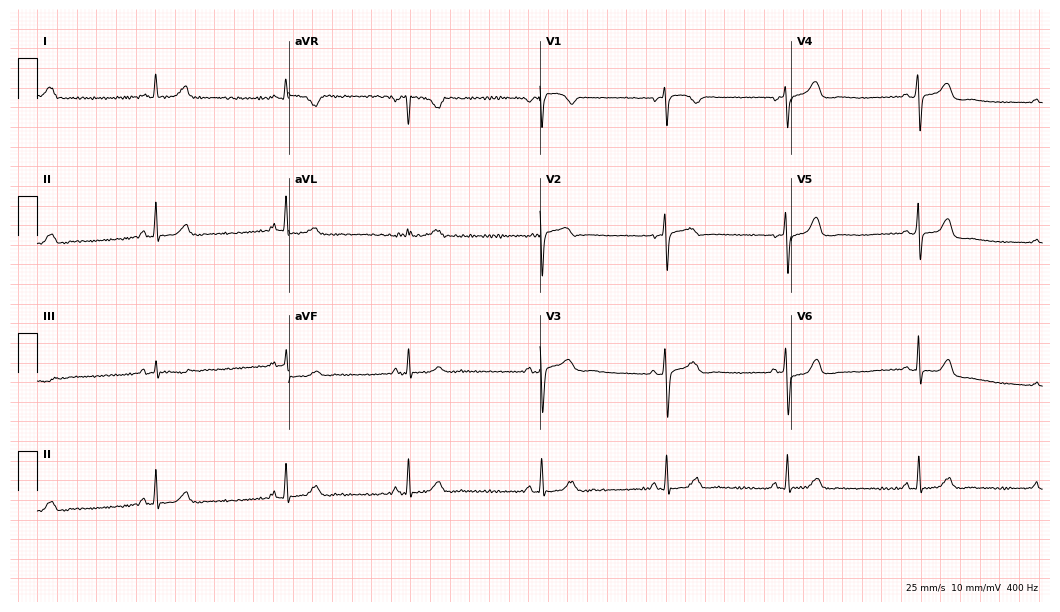
12-lead ECG from a female, 51 years old. Shows sinus bradycardia (a sinus rate of 50 beats per minute or less).